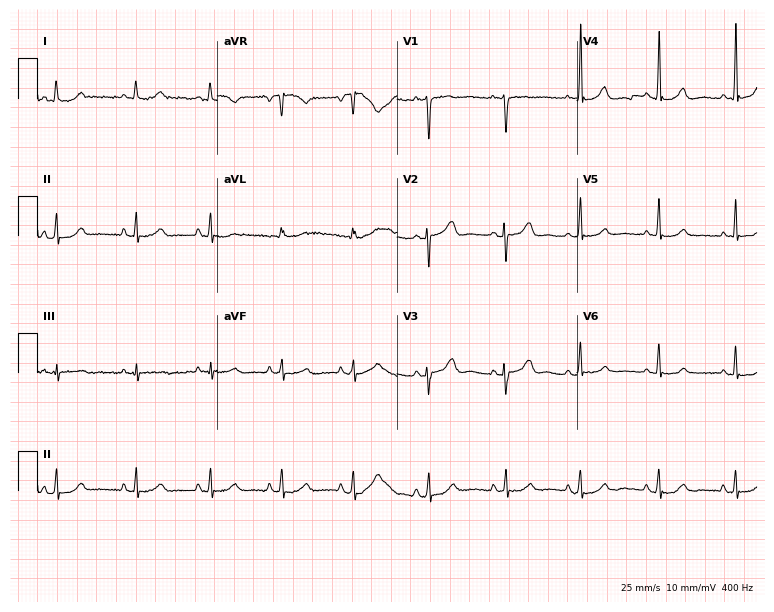
Standard 12-lead ECG recorded from a 21-year-old female patient. None of these six findings is recorded: first-degree AV block, right bundle branch block (RBBB), left bundle branch block (LBBB), sinus bradycardia, atrial fibrillation (AF), sinus tachycardia.